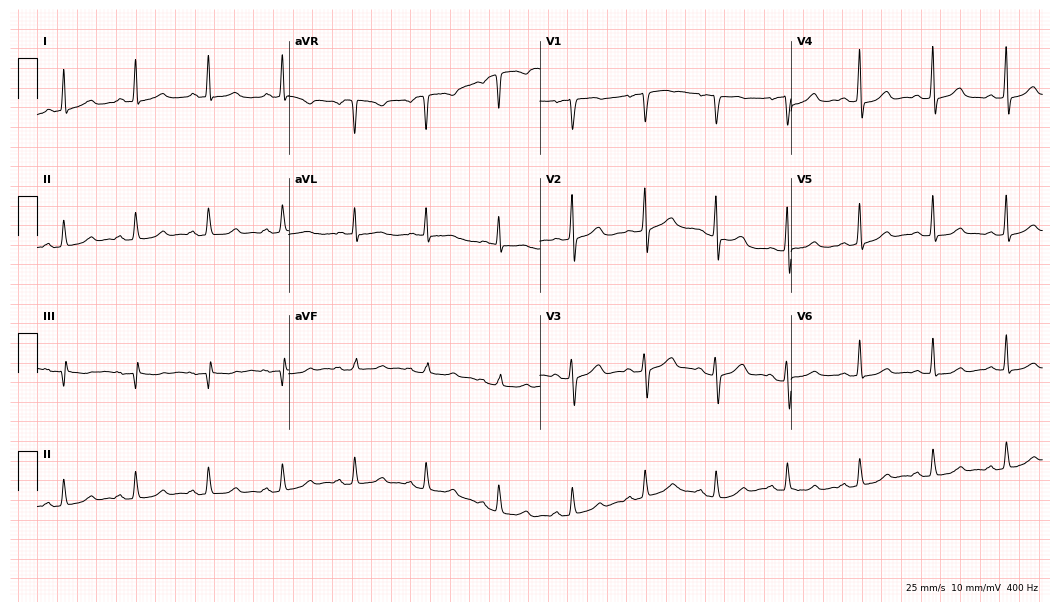
ECG — a 53-year-old woman. Labelled as a normal ECG.